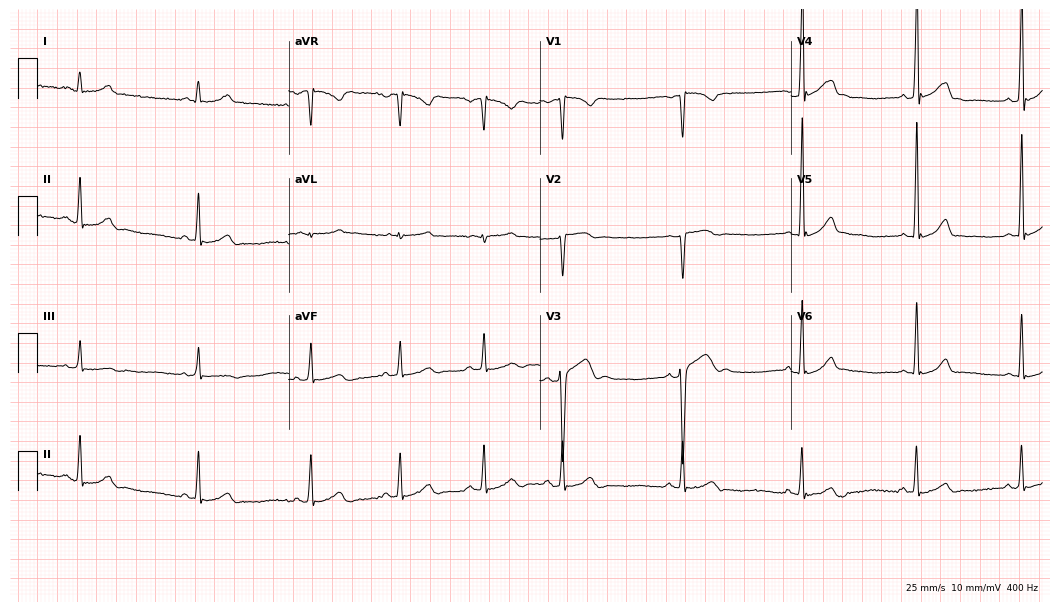
ECG — a male, 20 years old. Labelled as a normal ECG.